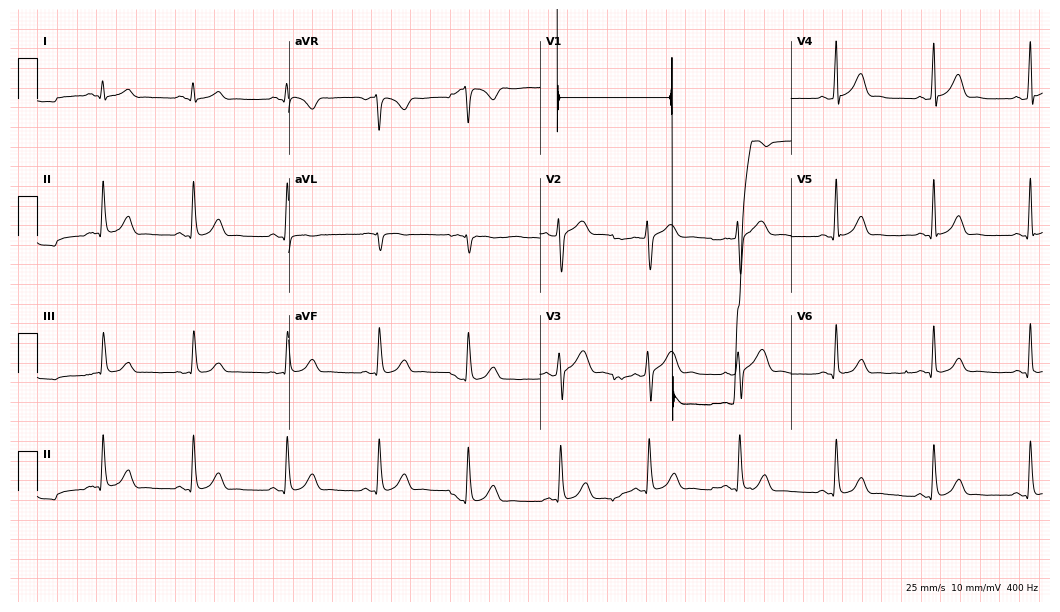
Resting 12-lead electrocardiogram (10.2-second recording at 400 Hz). Patient: a male, 25 years old. None of these six findings is recorded: first-degree AV block, right bundle branch block (RBBB), left bundle branch block (LBBB), sinus bradycardia, atrial fibrillation (AF), sinus tachycardia. Findings outside these six are not listed.